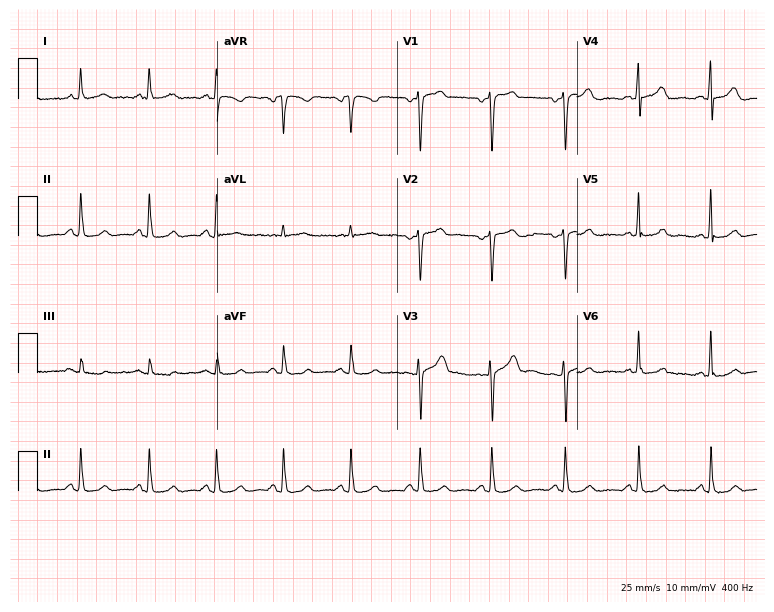
Resting 12-lead electrocardiogram. Patient: a 57-year-old woman. Read as a normal ECG.